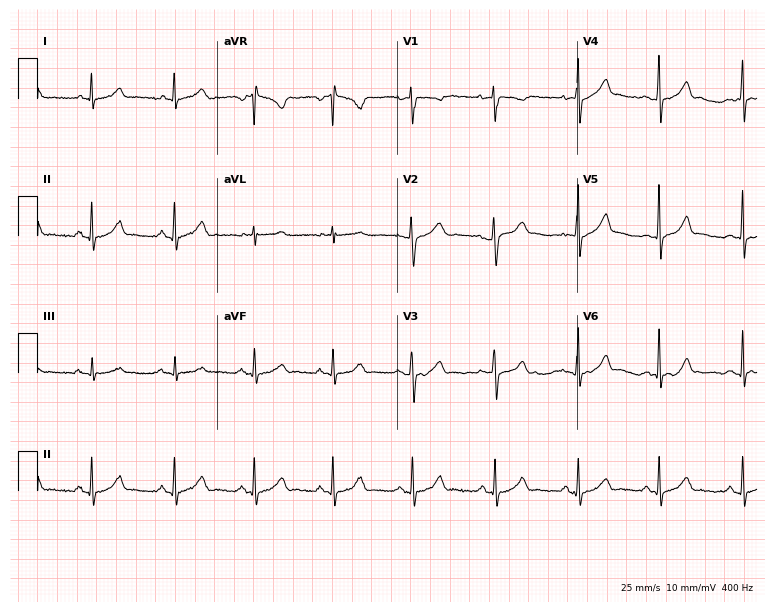
ECG — a 30-year-old female. Labelled as a normal ECG.